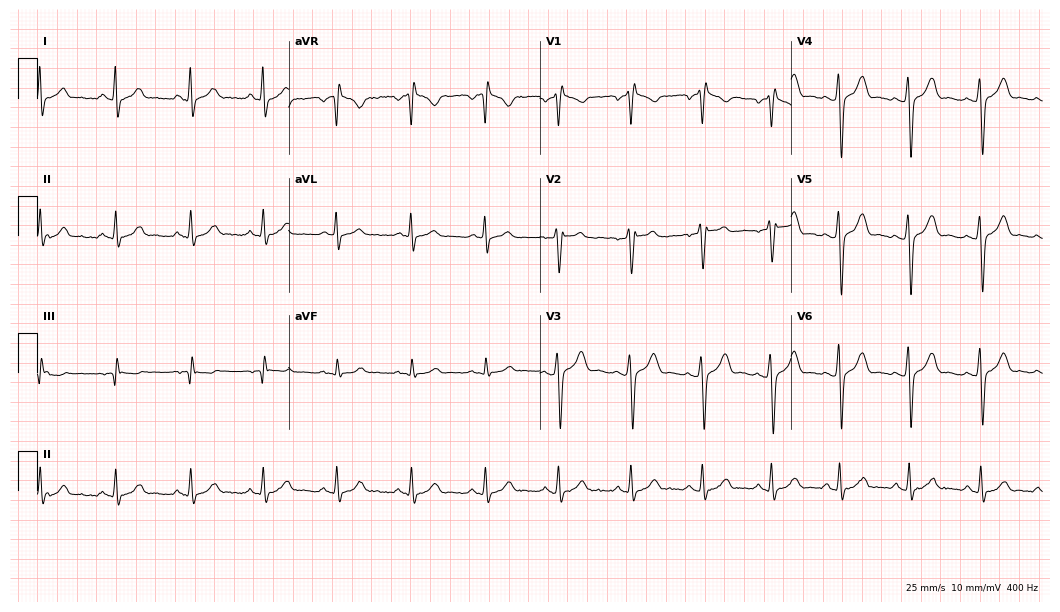
12-lead ECG (10.2-second recording at 400 Hz) from a 30-year-old male patient. Screened for six findings — first-degree AV block, right bundle branch block (RBBB), left bundle branch block (LBBB), sinus bradycardia, atrial fibrillation (AF), sinus tachycardia — none is recorded.